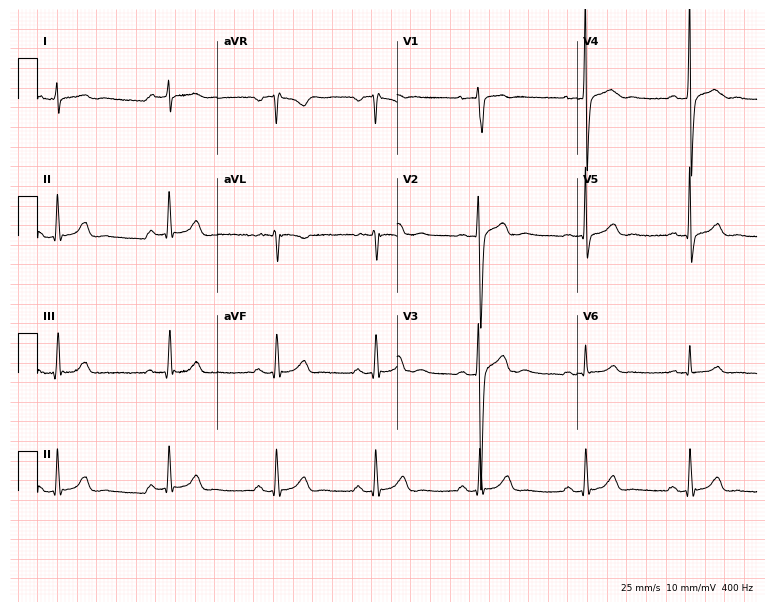
Electrocardiogram (7.3-second recording at 400 Hz), a 29-year-old male patient. Of the six screened findings (first-degree AV block, right bundle branch block (RBBB), left bundle branch block (LBBB), sinus bradycardia, atrial fibrillation (AF), sinus tachycardia), none is recorded.